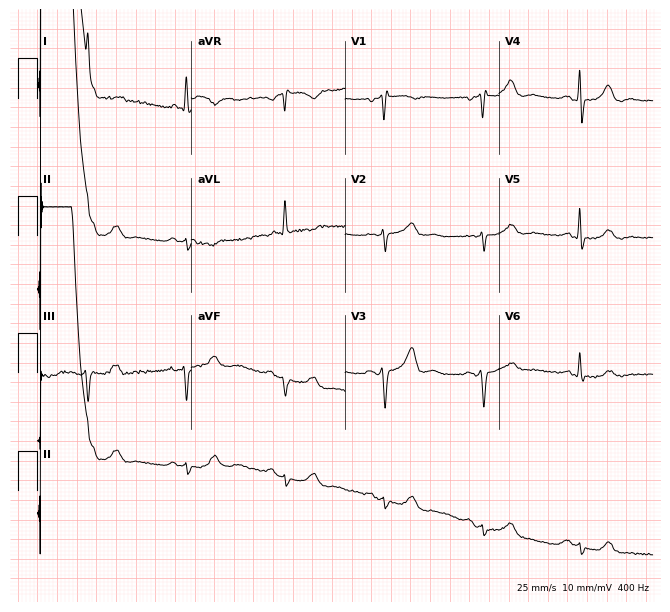
Standard 12-lead ECG recorded from a man, 69 years old (6.3-second recording at 400 Hz). None of these six findings is recorded: first-degree AV block, right bundle branch block, left bundle branch block, sinus bradycardia, atrial fibrillation, sinus tachycardia. Only these six findings were labelled.